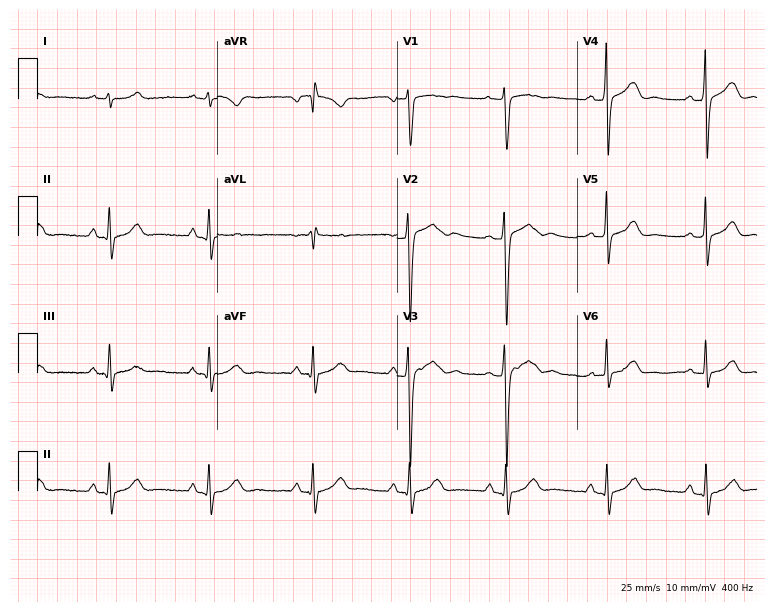
Resting 12-lead electrocardiogram. Patient: a male, 27 years old. None of these six findings is recorded: first-degree AV block, right bundle branch block, left bundle branch block, sinus bradycardia, atrial fibrillation, sinus tachycardia. Other findings, if any, are not listed.